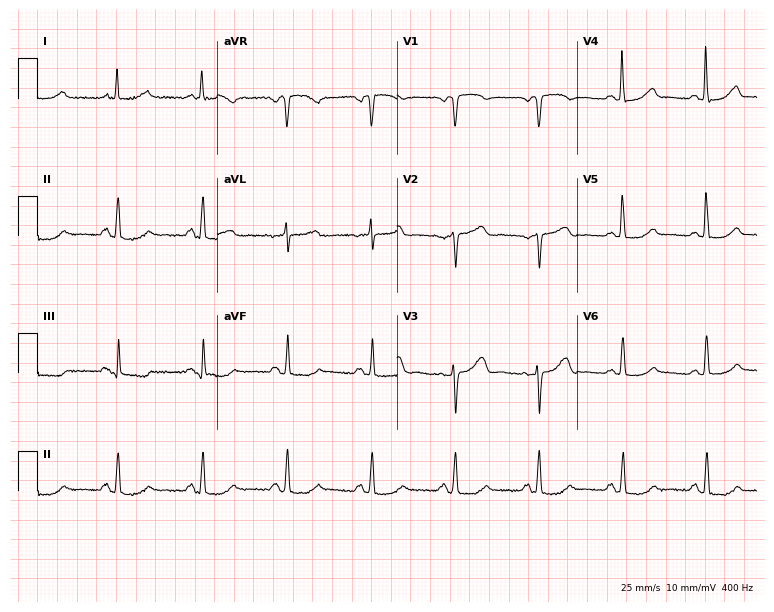
Standard 12-lead ECG recorded from an 80-year-old woman. None of these six findings is recorded: first-degree AV block, right bundle branch block, left bundle branch block, sinus bradycardia, atrial fibrillation, sinus tachycardia.